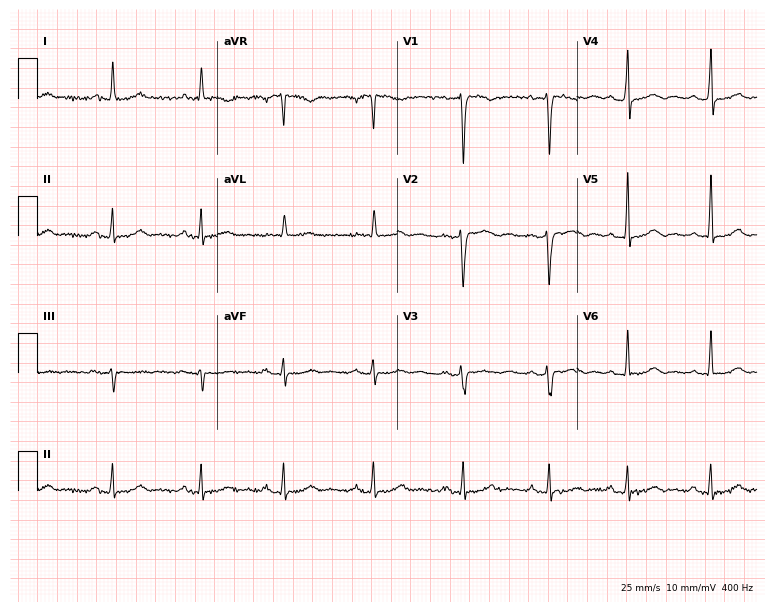
Standard 12-lead ECG recorded from a 51-year-old female (7.3-second recording at 400 Hz). None of these six findings is recorded: first-degree AV block, right bundle branch block, left bundle branch block, sinus bradycardia, atrial fibrillation, sinus tachycardia. Only these six findings were labelled.